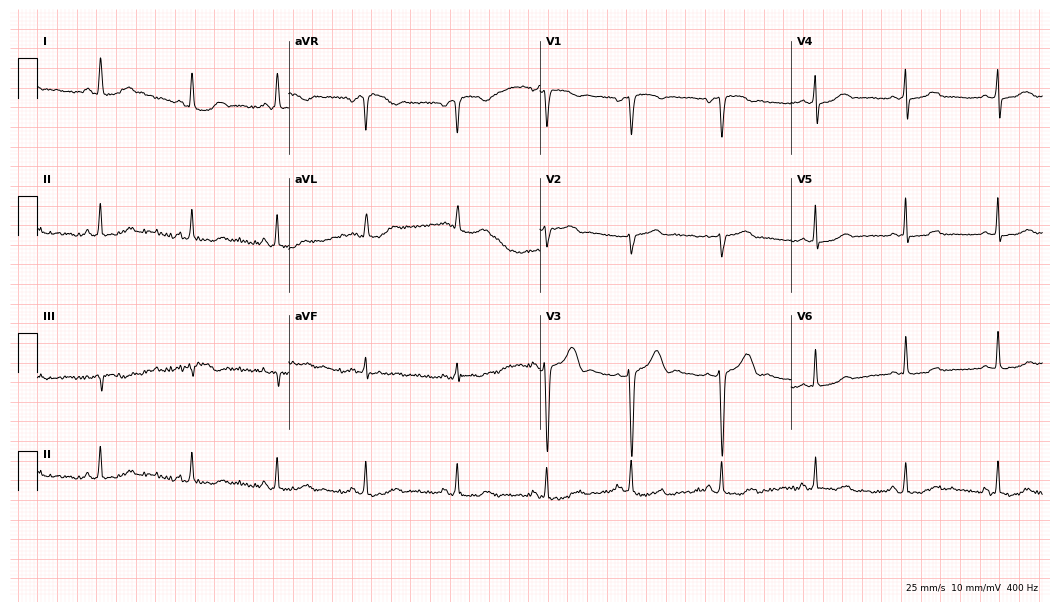
Standard 12-lead ECG recorded from a 28-year-old female. None of these six findings is recorded: first-degree AV block, right bundle branch block, left bundle branch block, sinus bradycardia, atrial fibrillation, sinus tachycardia. Other findings, if any, are not listed.